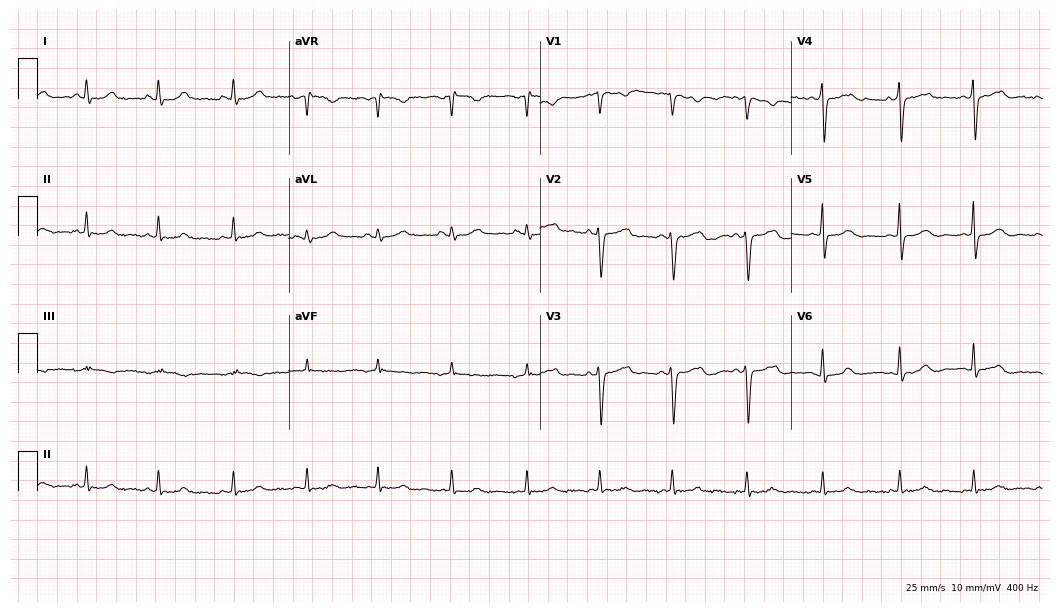
ECG (10.2-second recording at 400 Hz) — a female patient, 26 years old. Labelled as a normal ECG.